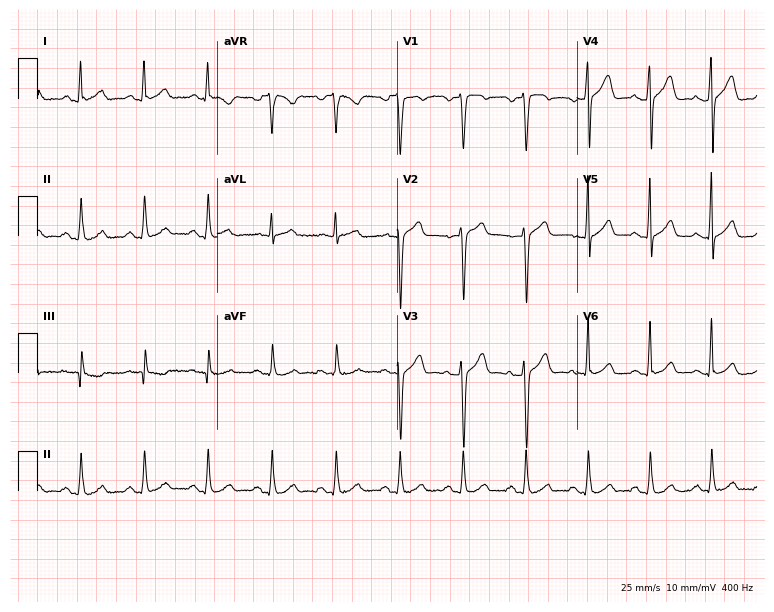
Resting 12-lead electrocardiogram. Patient: a 43-year-old man. Read as a normal ECG.